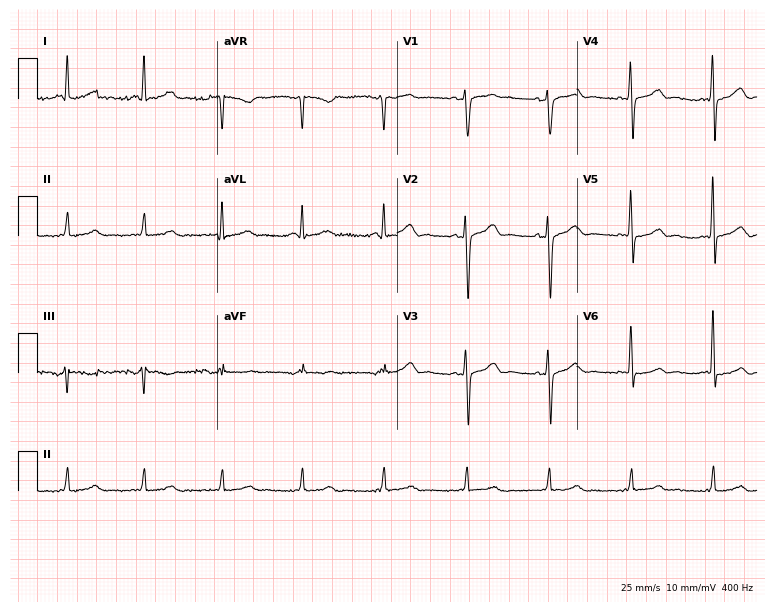
Electrocardiogram (7.3-second recording at 400 Hz), a female patient, 80 years old. Of the six screened findings (first-degree AV block, right bundle branch block, left bundle branch block, sinus bradycardia, atrial fibrillation, sinus tachycardia), none is recorded. Other findings, if any, are not listed.